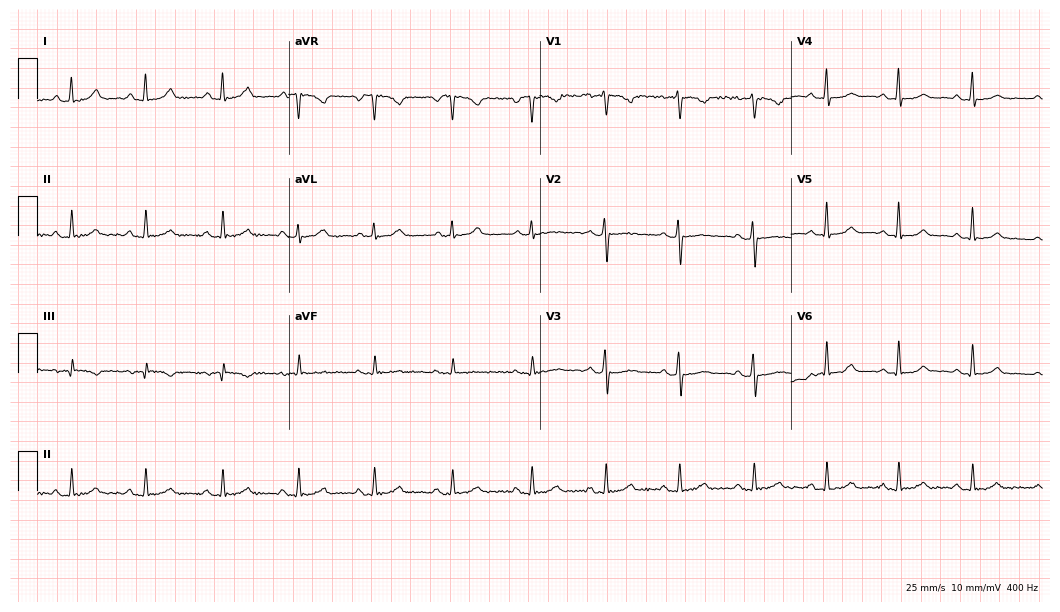
ECG — a 40-year-old woman. Labelled as a normal ECG.